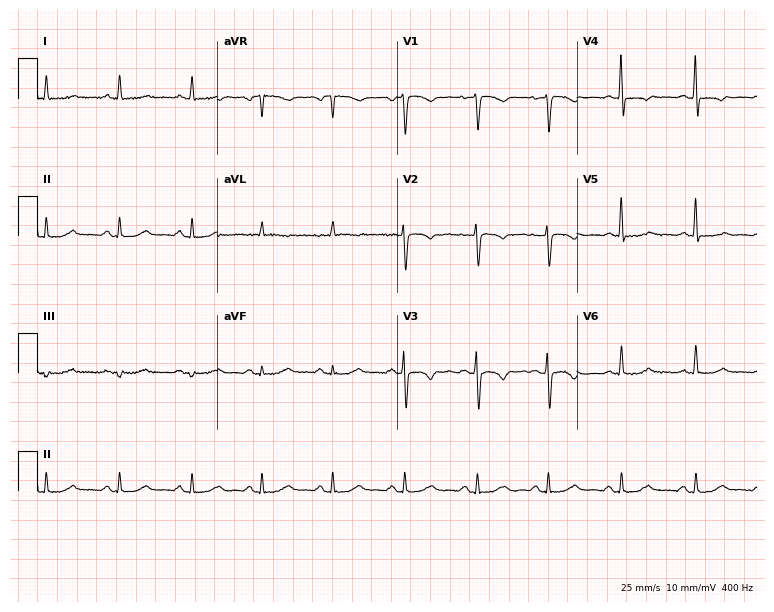
ECG (7.3-second recording at 400 Hz) — a female patient, 48 years old. Screened for six findings — first-degree AV block, right bundle branch block (RBBB), left bundle branch block (LBBB), sinus bradycardia, atrial fibrillation (AF), sinus tachycardia — none is recorded. Only these six findings were labelled.